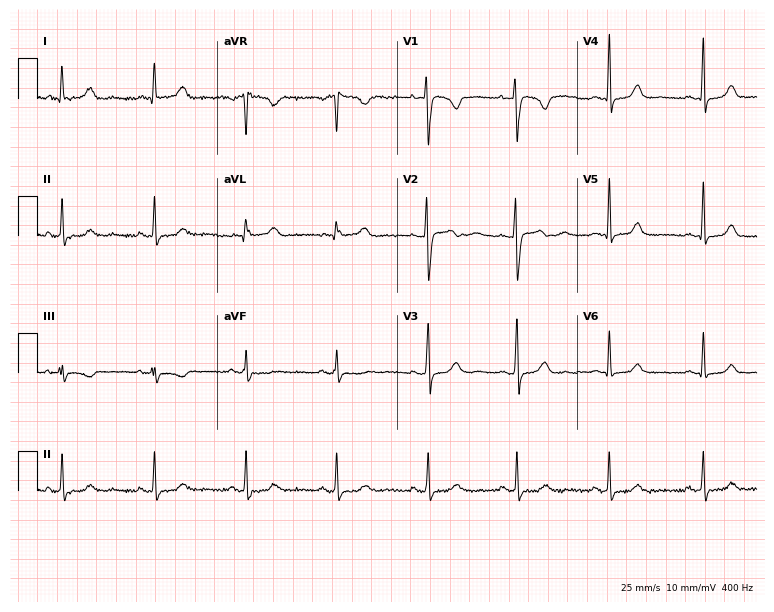
ECG — a woman, 29 years old. Screened for six findings — first-degree AV block, right bundle branch block, left bundle branch block, sinus bradycardia, atrial fibrillation, sinus tachycardia — none is recorded. Findings outside these six are not listed.